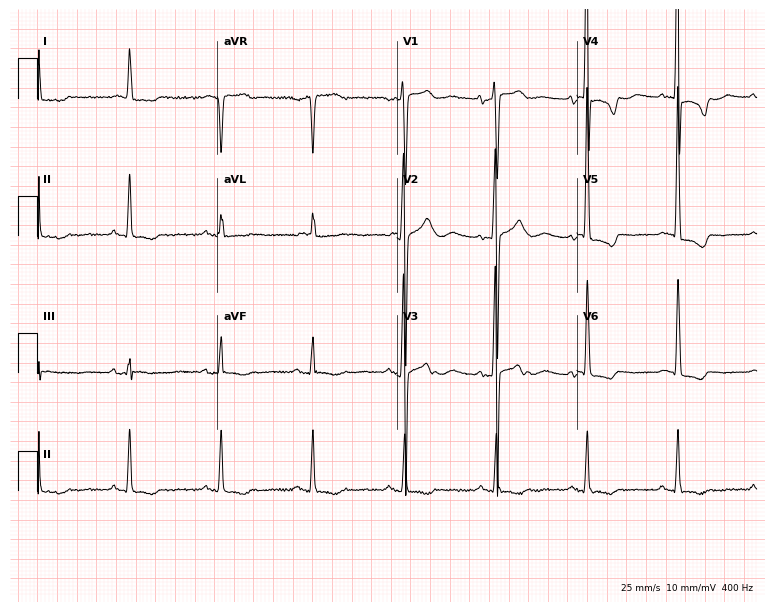
12-lead ECG (7.3-second recording at 400 Hz) from a female patient, 76 years old. Screened for six findings — first-degree AV block, right bundle branch block (RBBB), left bundle branch block (LBBB), sinus bradycardia, atrial fibrillation (AF), sinus tachycardia — none is recorded. Findings outside these six are not listed.